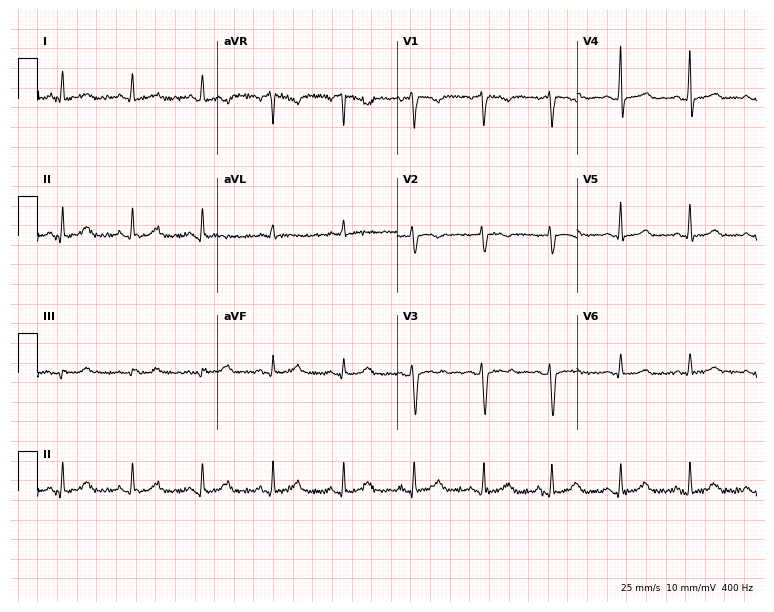
Standard 12-lead ECG recorded from a female patient, 35 years old. None of these six findings is recorded: first-degree AV block, right bundle branch block, left bundle branch block, sinus bradycardia, atrial fibrillation, sinus tachycardia.